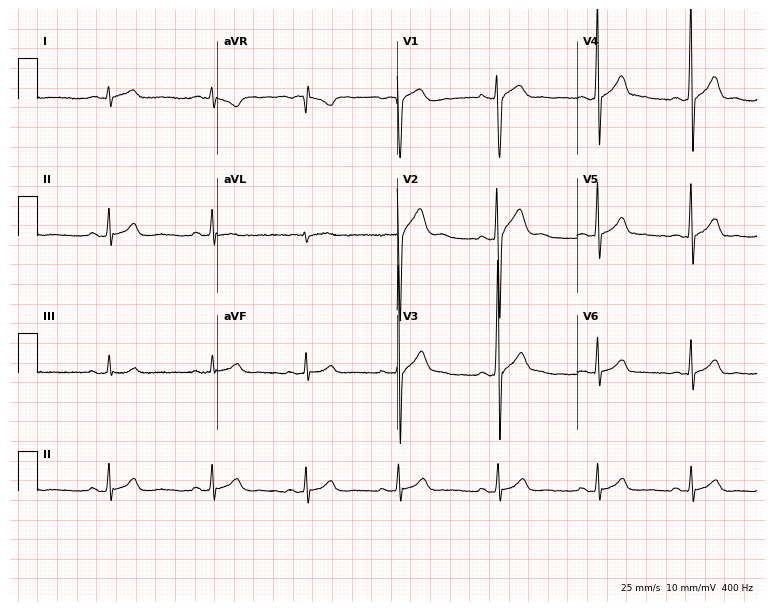
Resting 12-lead electrocardiogram (7.3-second recording at 400 Hz). Patient: a male, 22 years old. Read as a normal ECG.